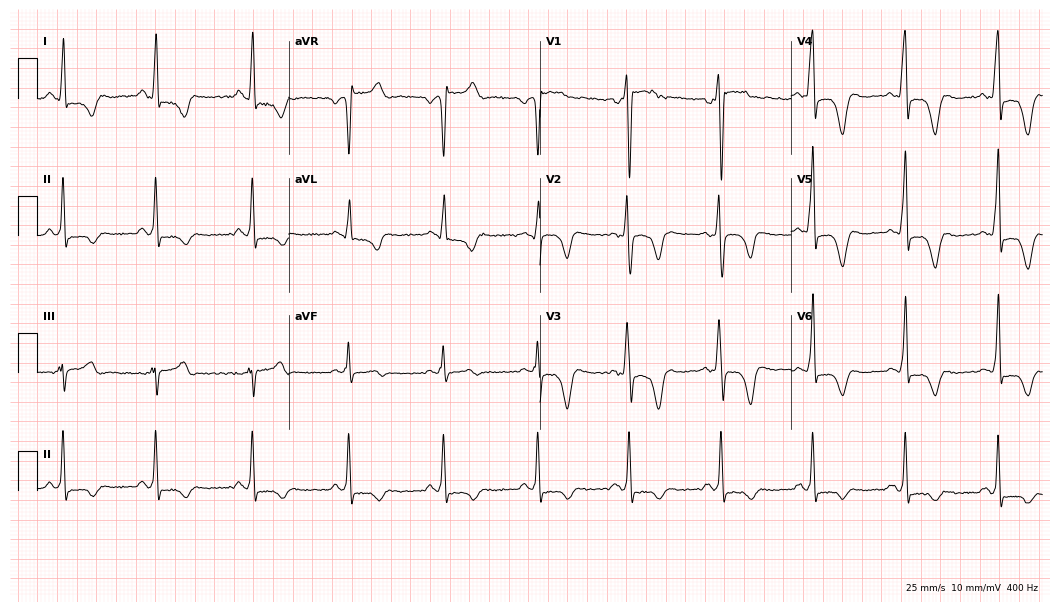
12-lead ECG (10.2-second recording at 400 Hz) from a 34-year-old male patient. Screened for six findings — first-degree AV block, right bundle branch block, left bundle branch block, sinus bradycardia, atrial fibrillation, sinus tachycardia — none is recorded.